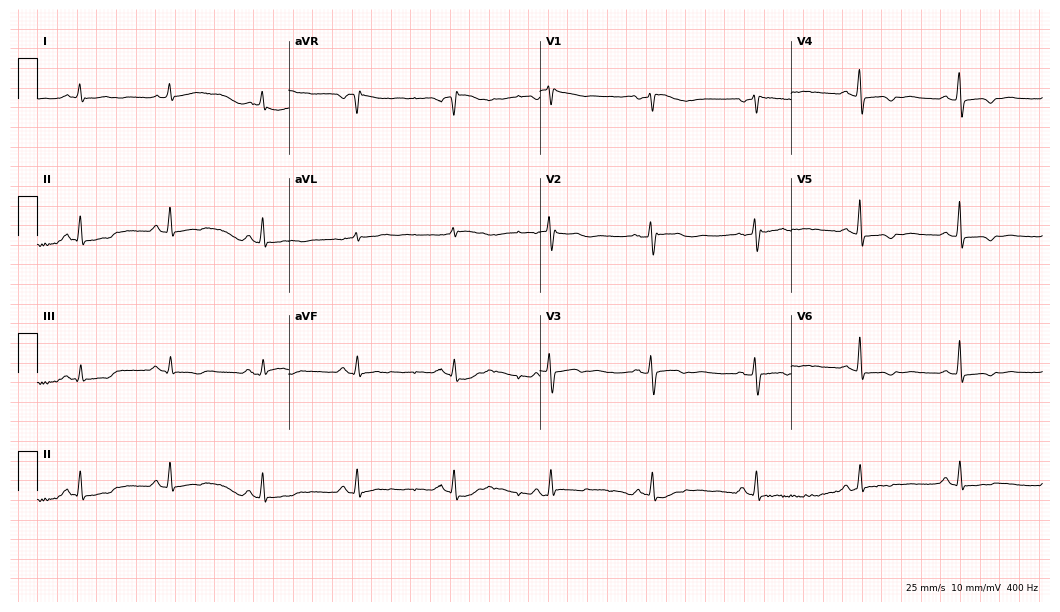
Resting 12-lead electrocardiogram. Patient: a 49-year-old woman. None of these six findings is recorded: first-degree AV block, right bundle branch block, left bundle branch block, sinus bradycardia, atrial fibrillation, sinus tachycardia.